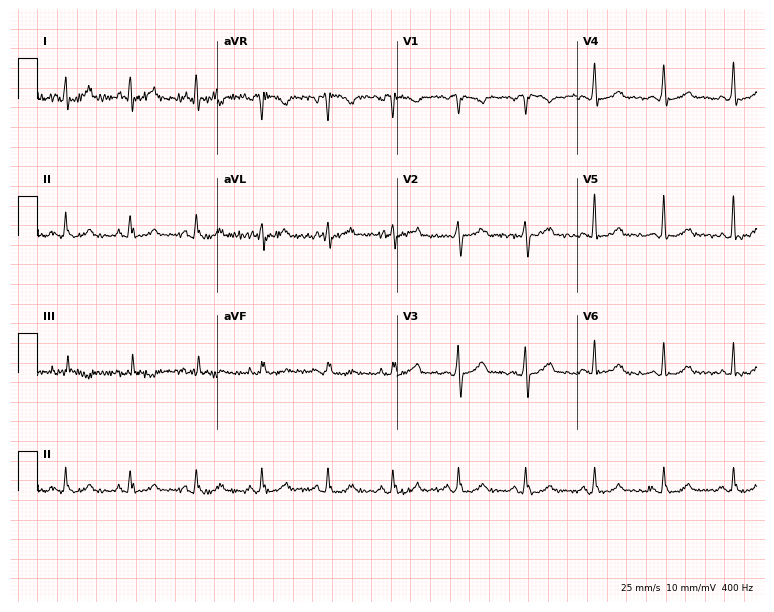
12-lead ECG from a 39-year-old female patient (7.3-second recording at 400 Hz). Recorded interpretation: within normal limits.